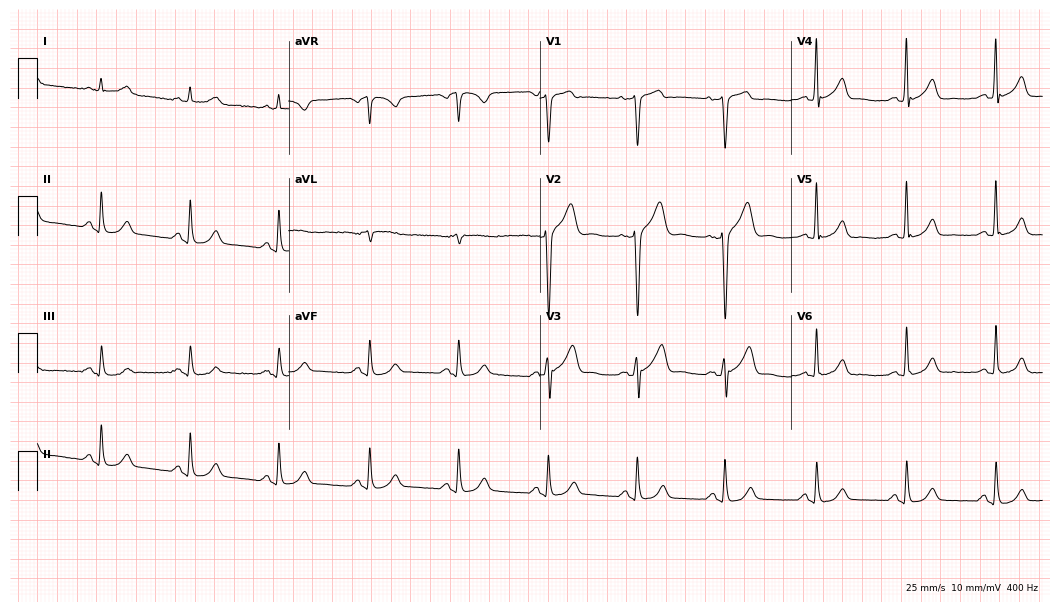
Electrocardiogram, a male, 56 years old. Overall reading on record: normal ECG.